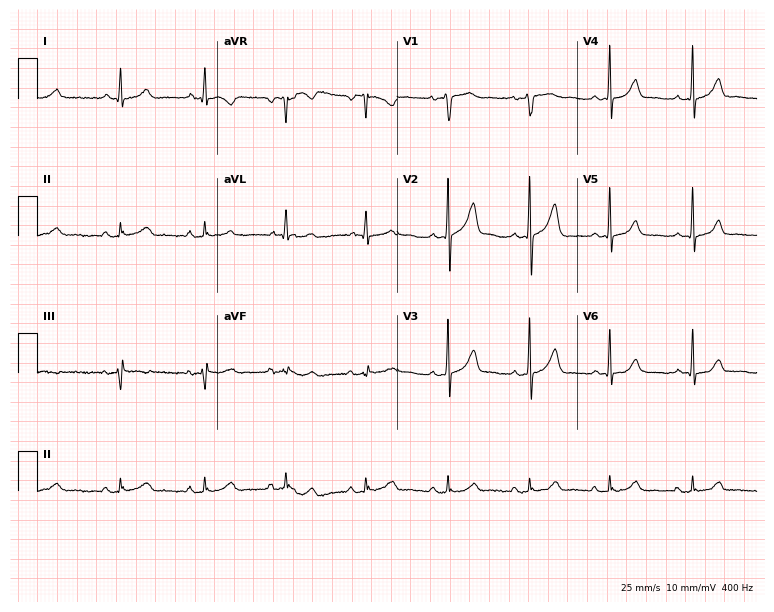
Electrocardiogram, a male, 39 years old. Overall reading on record: normal ECG.